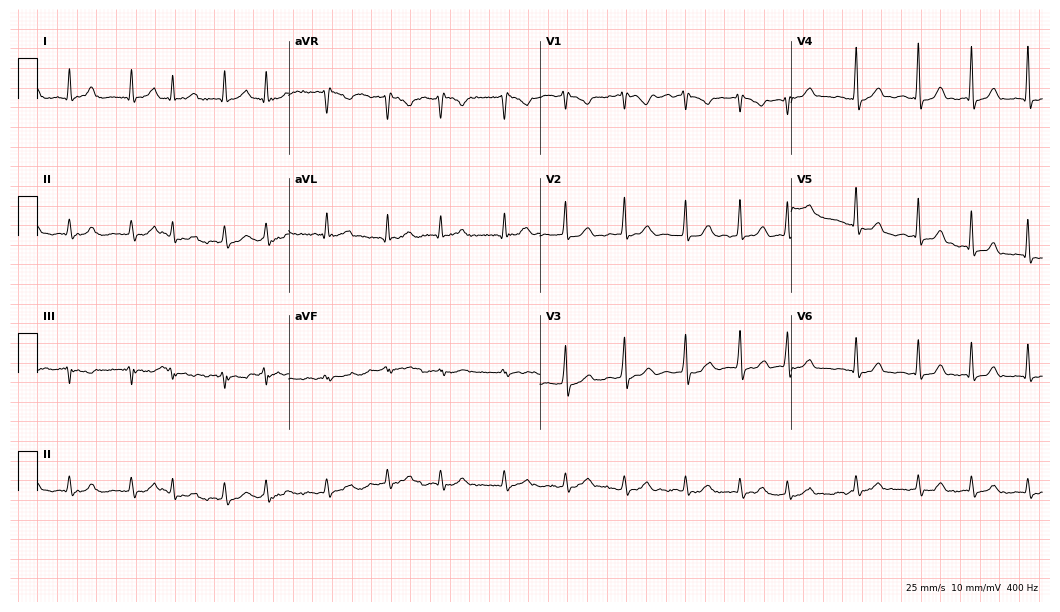
Resting 12-lead electrocardiogram. Patient: an 83-year-old female. None of these six findings is recorded: first-degree AV block, right bundle branch block, left bundle branch block, sinus bradycardia, atrial fibrillation, sinus tachycardia. Findings outside these six are not listed.